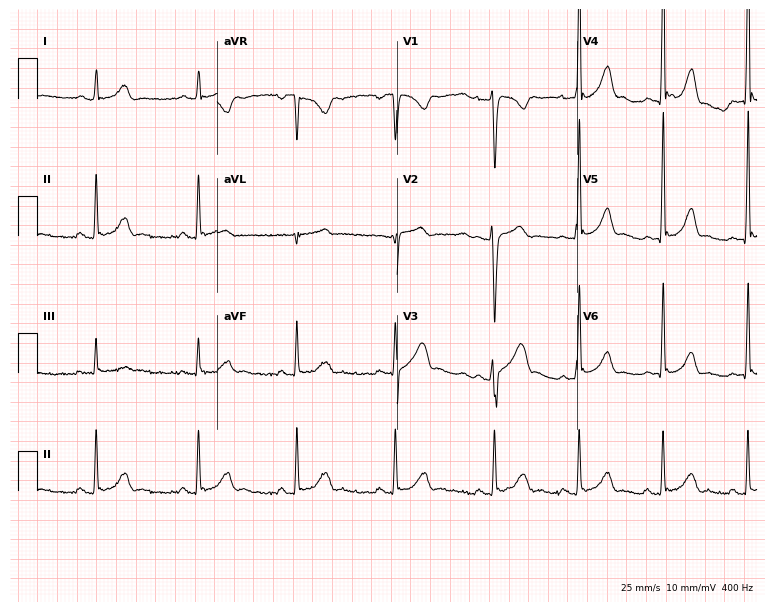
Electrocardiogram, a male patient, 24 years old. Overall reading on record: normal ECG.